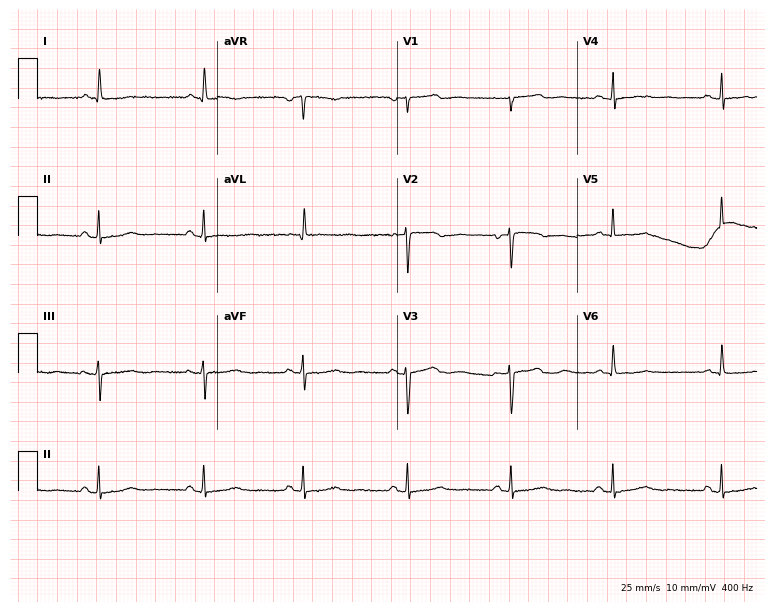
Standard 12-lead ECG recorded from a 58-year-old female patient (7.3-second recording at 400 Hz). None of these six findings is recorded: first-degree AV block, right bundle branch block, left bundle branch block, sinus bradycardia, atrial fibrillation, sinus tachycardia. Only these six findings were labelled.